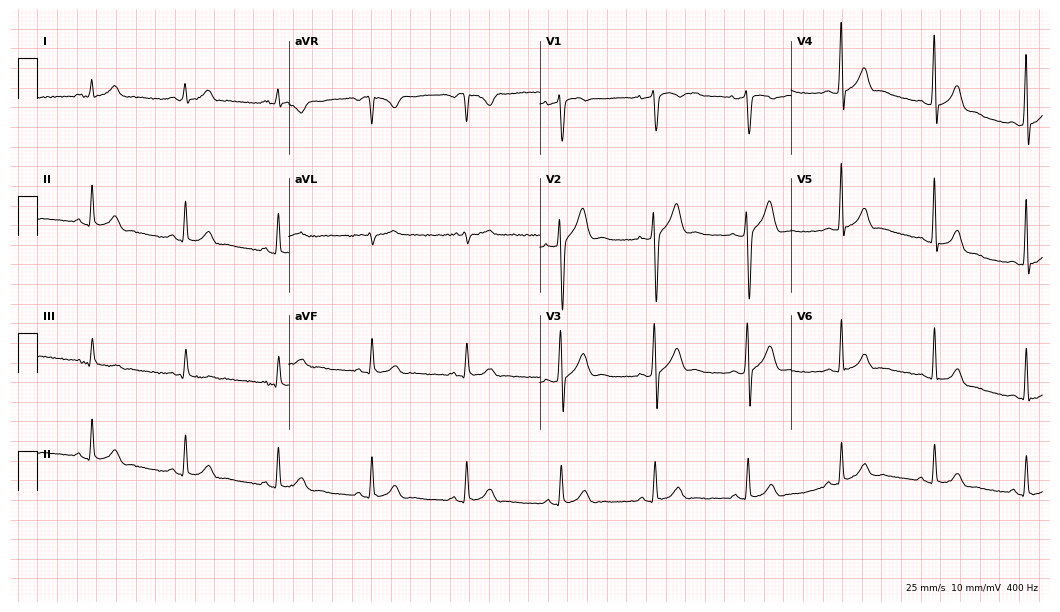
ECG (10.2-second recording at 400 Hz) — a male patient, 34 years old. Labelled as a normal ECG.